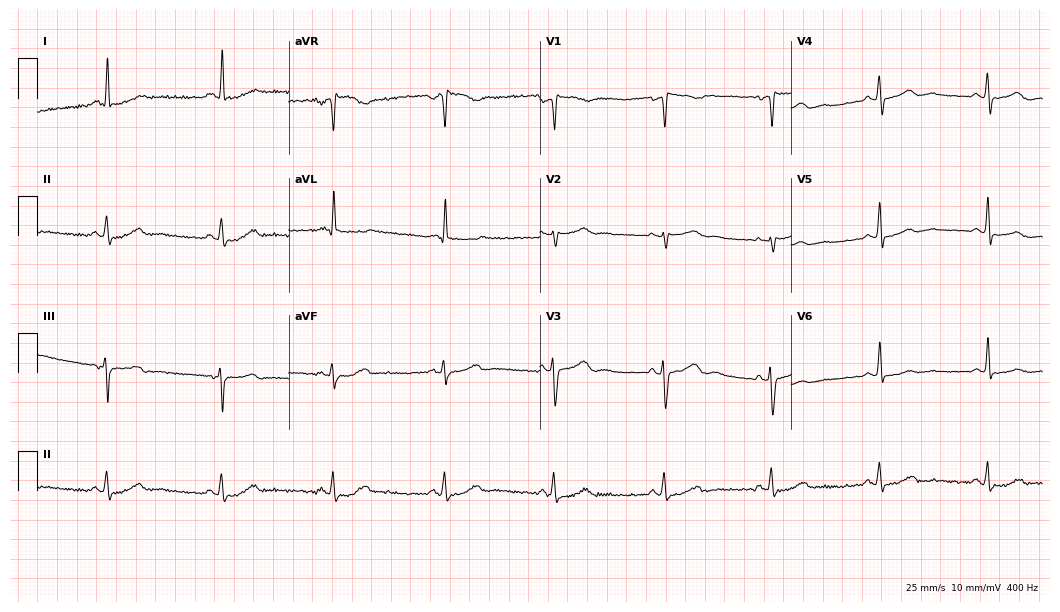
ECG (10.2-second recording at 400 Hz) — a 47-year-old female. Screened for six findings — first-degree AV block, right bundle branch block, left bundle branch block, sinus bradycardia, atrial fibrillation, sinus tachycardia — none is recorded.